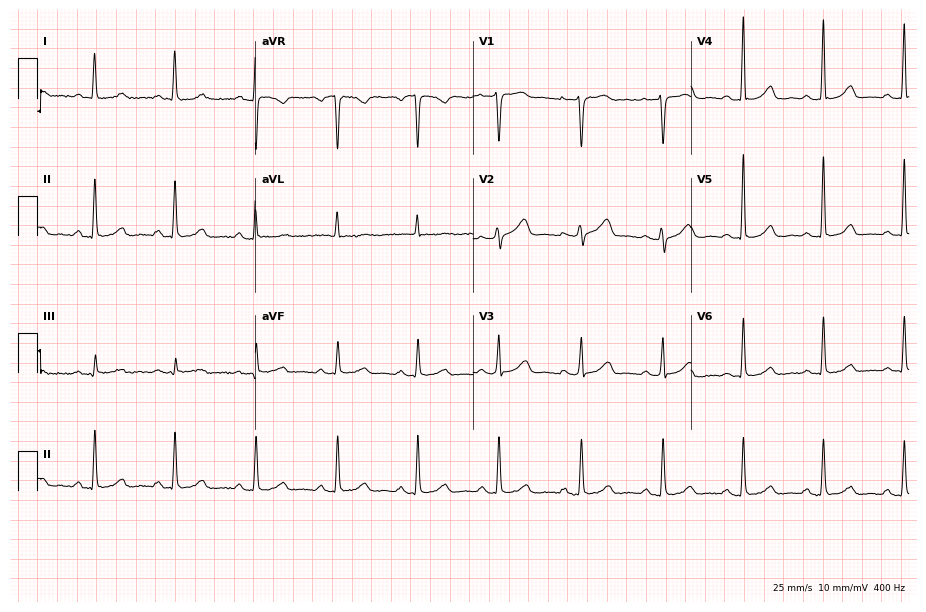
Electrocardiogram, a female patient, 60 years old. Overall reading on record: normal ECG.